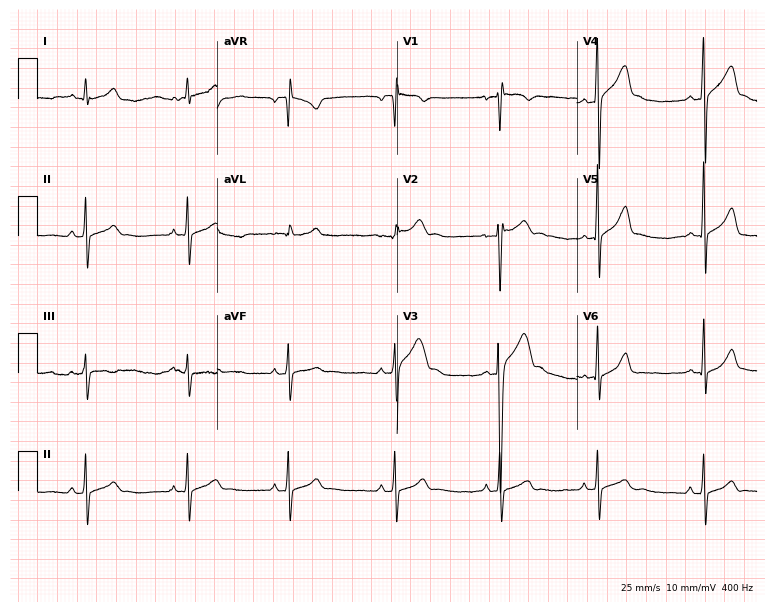
Electrocardiogram (7.3-second recording at 400 Hz), a 17-year-old male. Overall reading on record: normal ECG.